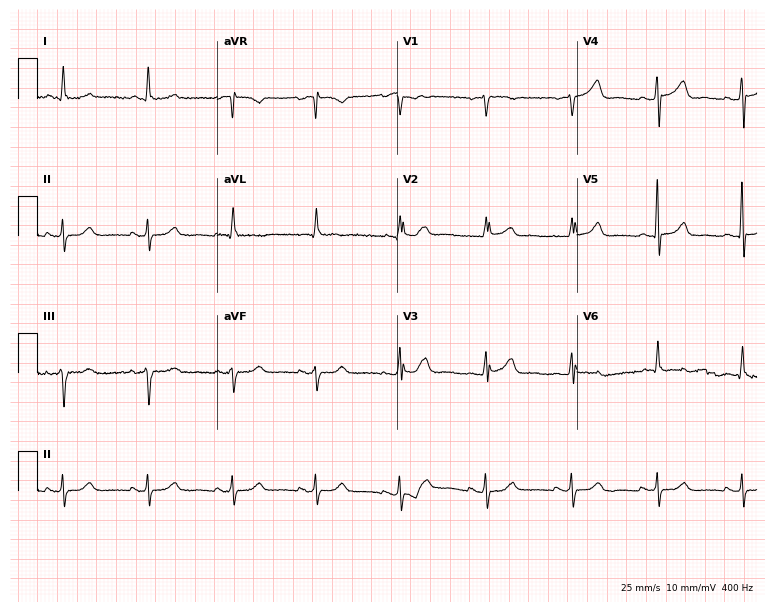
Resting 12-lead electrocardiogram. Patient: an 82-year-old man. None of these six findings is recorded: first-degree AV block, right bundle branch block, left bundle branch block, sinus bradycardia, atrial fibrillation, sinus tachycardia. Only these six findings were labelled.